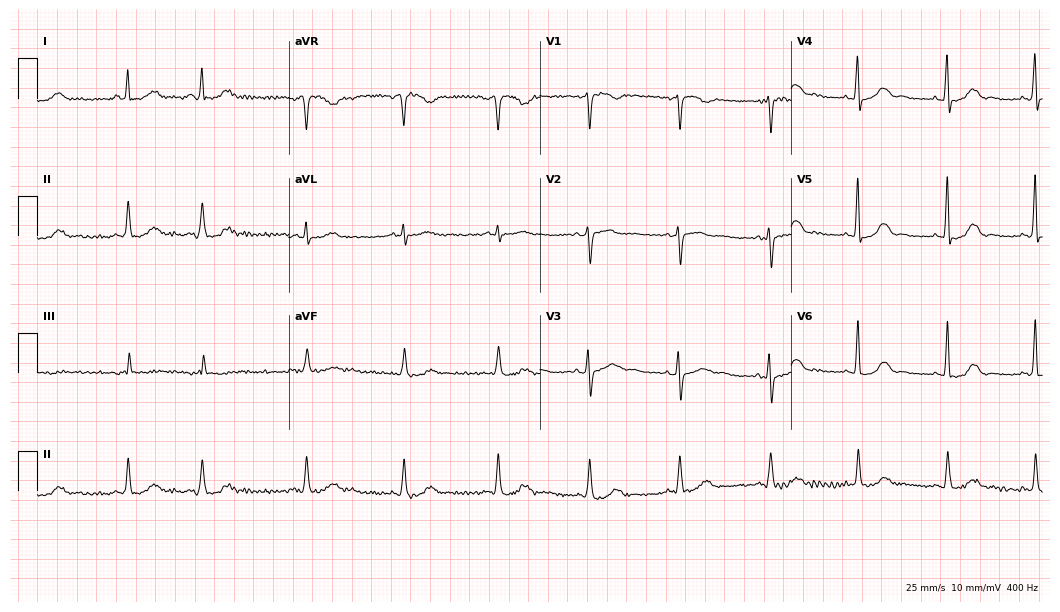
Standard 12-lead ECG recorded from a female patient, 74 years old (10.2-second recording at 400 Hz). None of these six findings is recorded: first-degree AV block, right bundle branch block, left bundle branch block, sinus bradycardia, atrial fibrillation, sinus tachycardia. Findings outside these six are not listed.